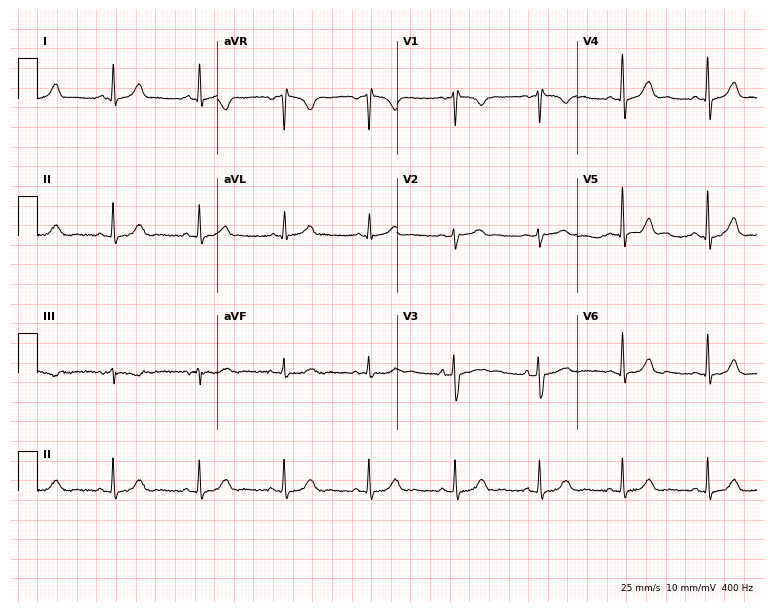
12-lead ECG (7.3-second recording at 400 Hz) from a 43-year-old female. Screened for six findings — first-degree AV block, right bundle branch block, left bundle branch block, sinus bradycardia, atrial fibrillation, sinus tachycardia — none is recorded.